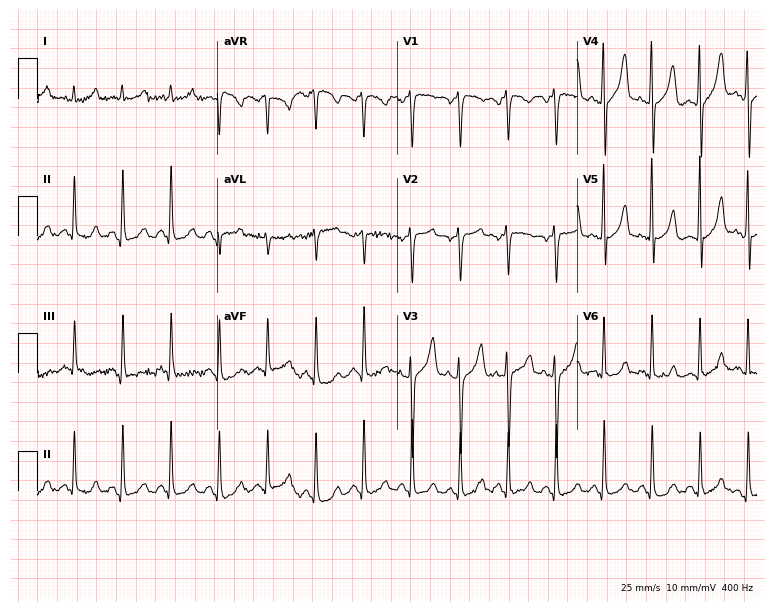
ECG (7.3-second recording at 400 Hz) — a male, 29 years old. Findings include sinus tachycardia (a sinus rate of 100 beats per minute or more).